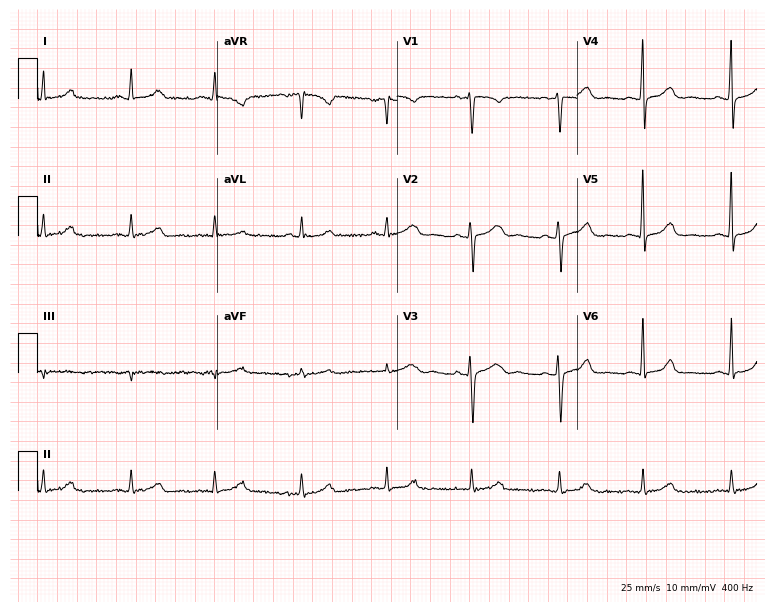
12-lead ECG from a female, 49 years old. No first-degree AV block, right bundle branch block, left bundle branch block, sinus bradycardia, atrial fibrillation or sinus tachycardia recorded for this tracing. Findings outside these six are not listed.